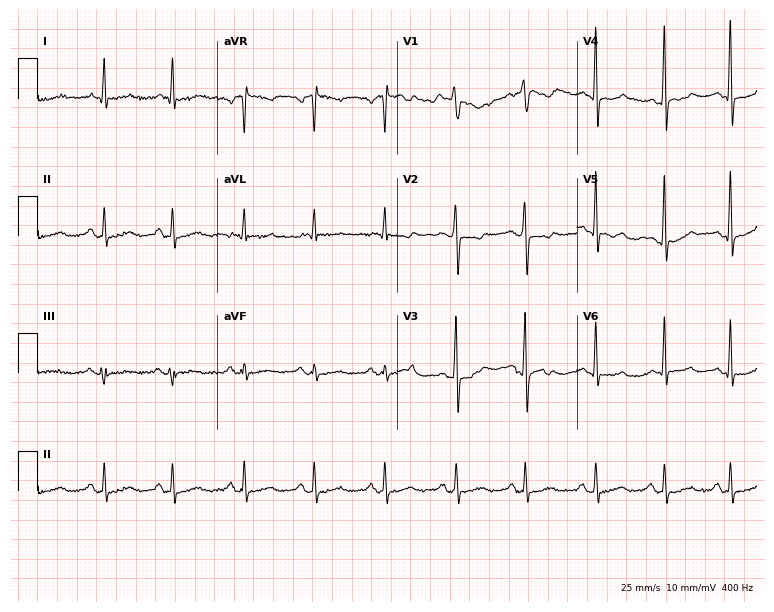
Standard 12-lead ECG recorded from a 54-year-old woman. None of these six findings is recorded: first-degree AV block, right bundle branch block, left bundle branch block, sinus bradycardia, atrial fibrillation, sinus tachycardia. Other findings, if any, are not listed.